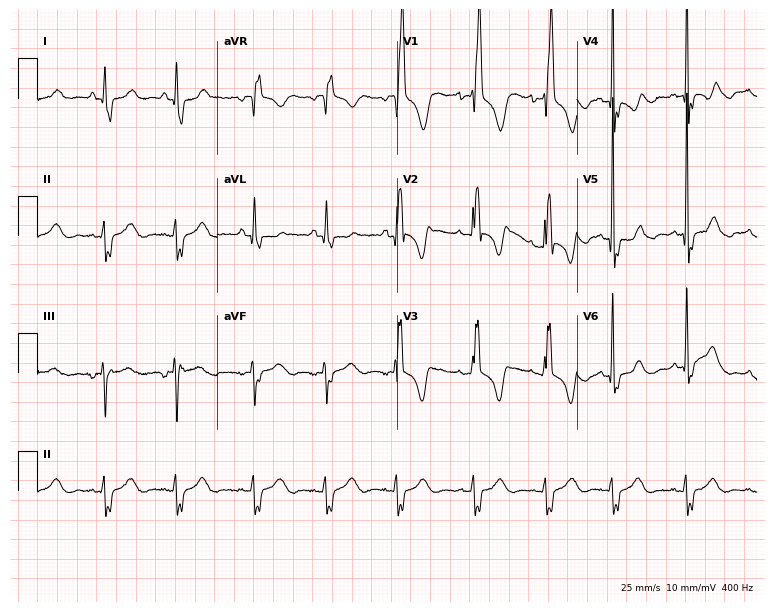
Standard 12-lead ECG recorded from a female patient, 23 years old (7.3-second recording at 400 Hz). The tracing shows right bundle branch block (RBBB).